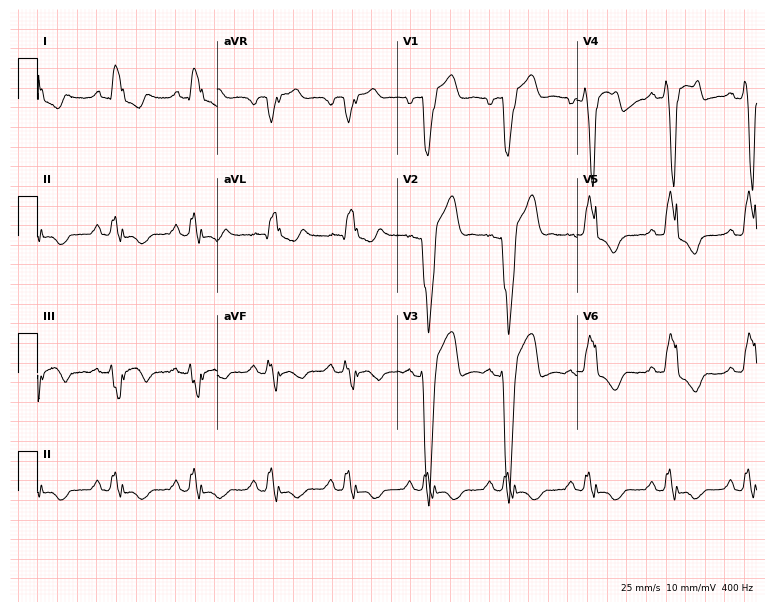
Standard 12-lead ECG recorded from a man, 62 years old. The tracing shows left bundle branch block.